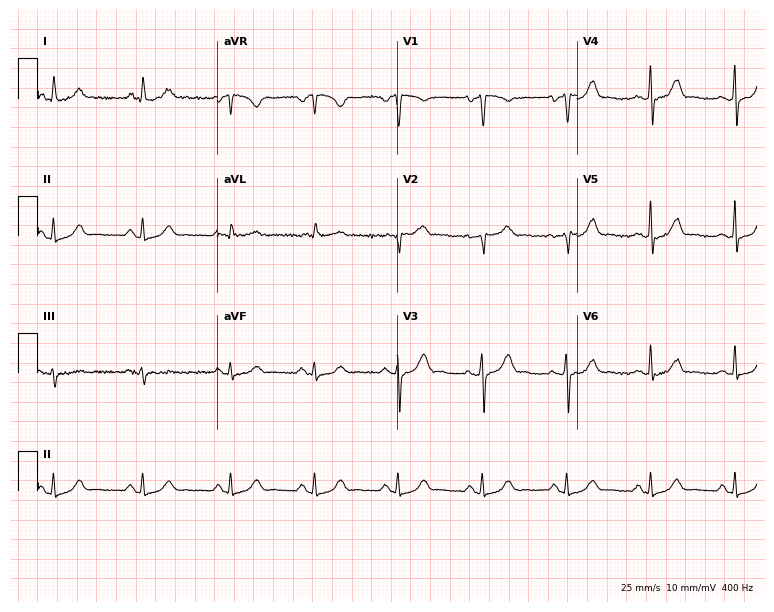
12-lead ECG from a 41-year-old male. Labelled as a normal ECG.